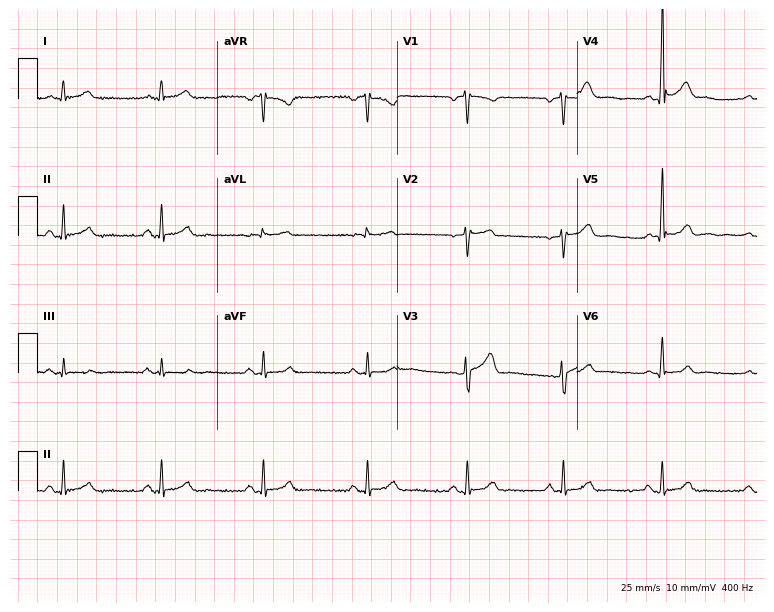
Electrocardiogram, a 55-year-old male patient. Of the six screened findings (first-degree AV block, right bundle branch block, left bundle branch block, sinus bradycardia, atrial fibrillation, sinus tachycardia), none is recorded. Only these six findings were labelled.